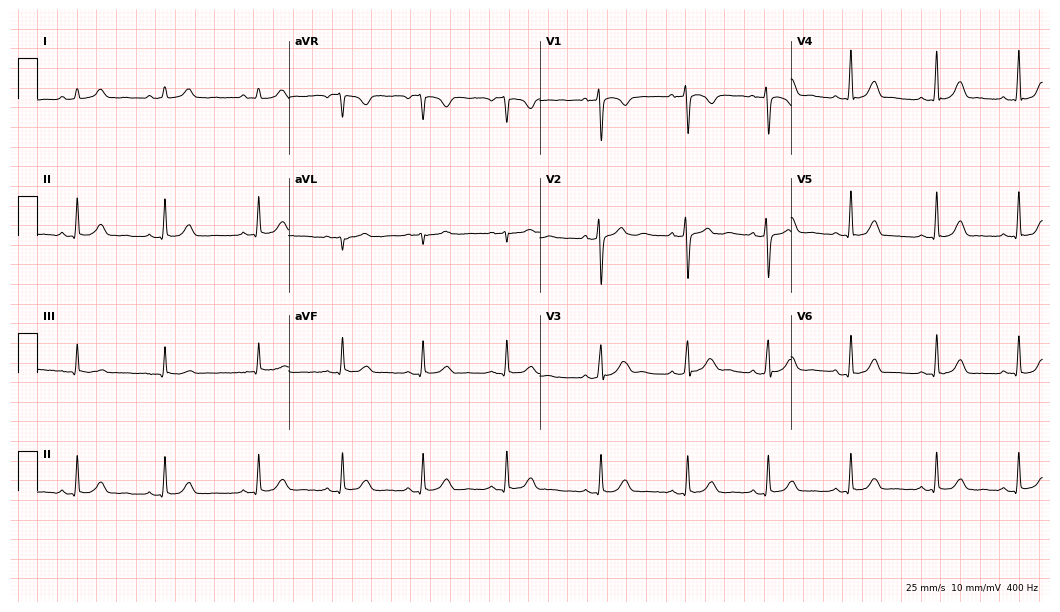
Electrocardiogram, a woman, 24 years old. Overall reading on record: normal ECG.